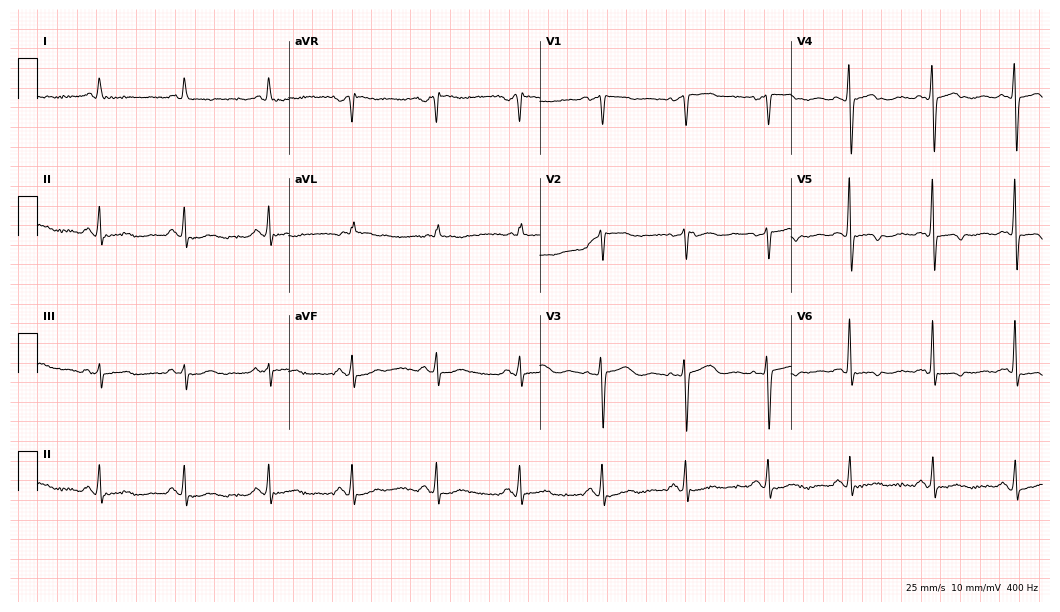
Electrocardiogram, a female patient, 66 years old. Of the six screened findings (first-degree AV block, right bundle branch block (RBBB), left bundle branch block (LBBB), sinus bradycardia, atrial fibrillation (AF), sinus tachycardia), none is recorded. Only these six findings were labelled.